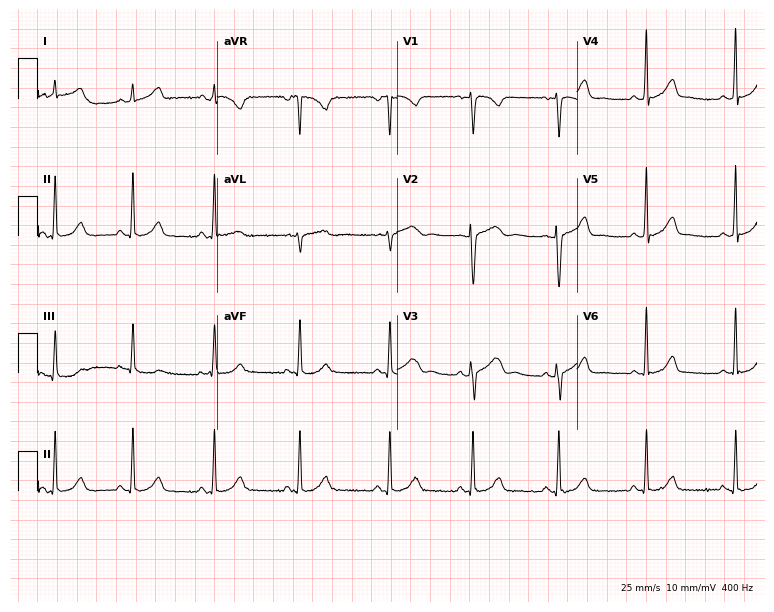
Standard 12-lead ECG recorded from a woman, 23 years old. Read as a normal ECG.